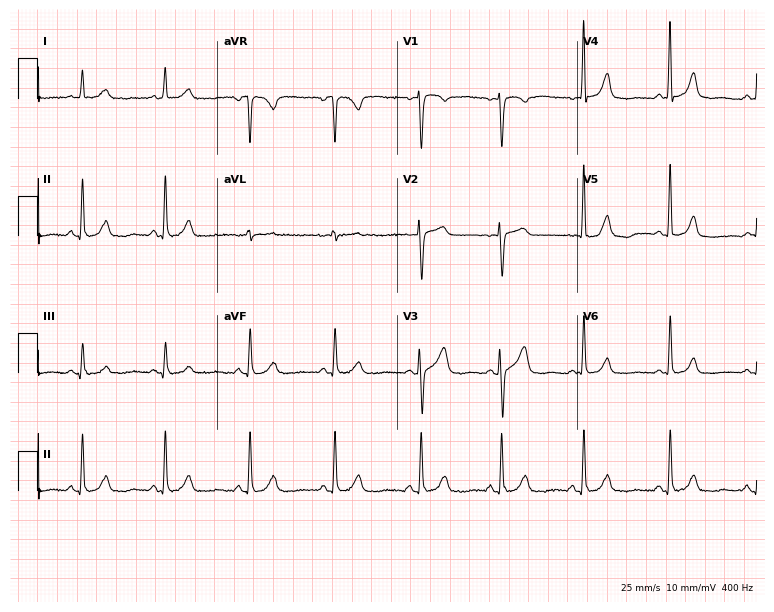
Standard 12-lead ECG recorded from a 72-year-old female patient. Read as a normal ECG.